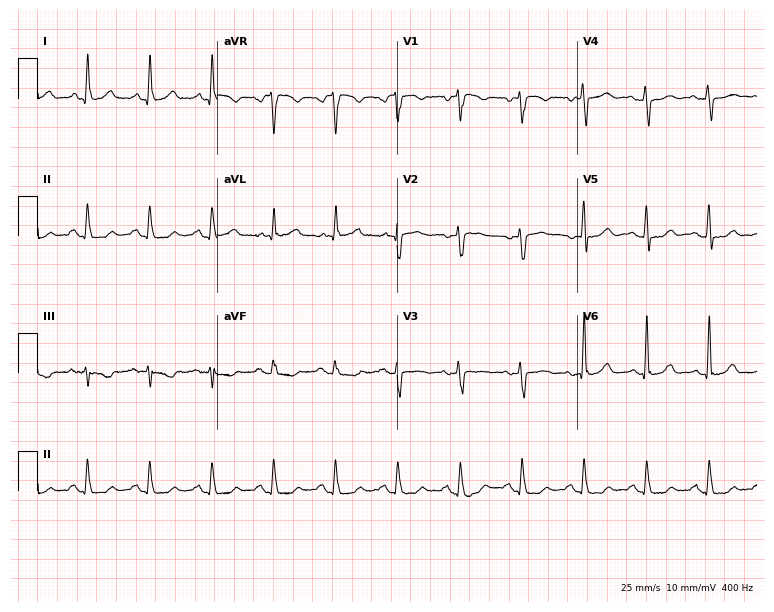
Standard 12-lead ECG recorded from a 76-year-old woman (7.3-second recording at 400 Hz). None of these six findings is recorded: first-degree AV block, right bundle branch block, left bundle branch block, sinus bradycardia, atrial fibrillation, sinus tachycardia. Other findings, if any, are not listed.